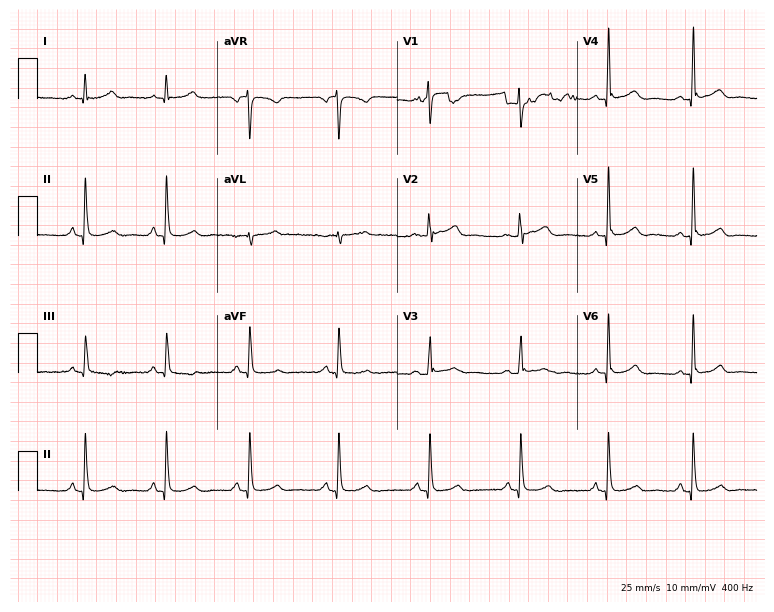
ECG (7.3-second recording at 400 Hz) — a 72-year-old female. Labelled as a normal ECG.